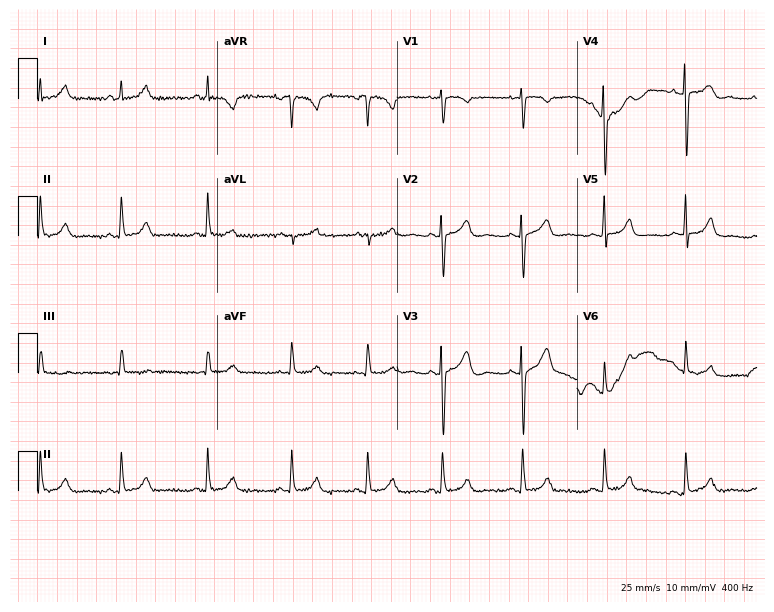
ECG — a female, 20 years old. Screened for six findings — first-degree AV block, right bundle branch block (RBBB), left bundle branch block (LBBB), sinus bradycardia, atrial fibrillation (AF), sinus tachycardia — none is recorded.